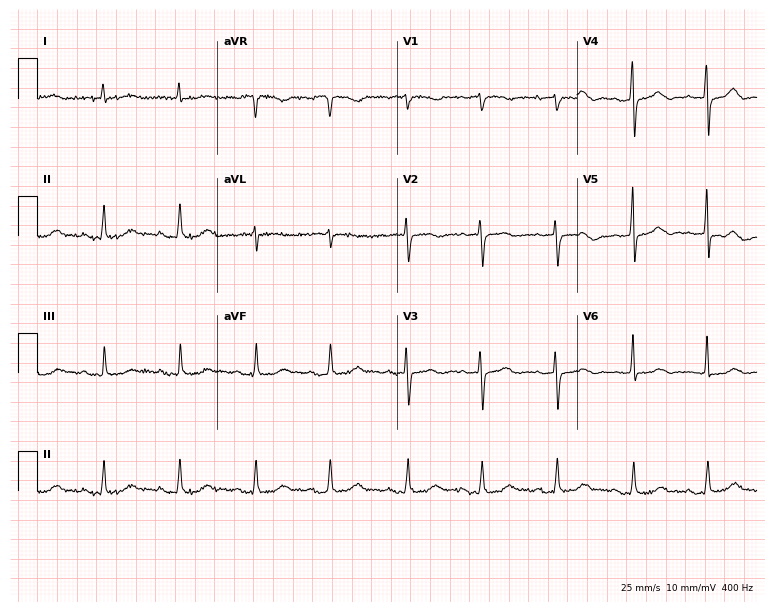
Resting 12-lead electrocardiogram (7.3-second recording at 400 Hz). Patient: an 80-year-old female. Read as a normal ECG.